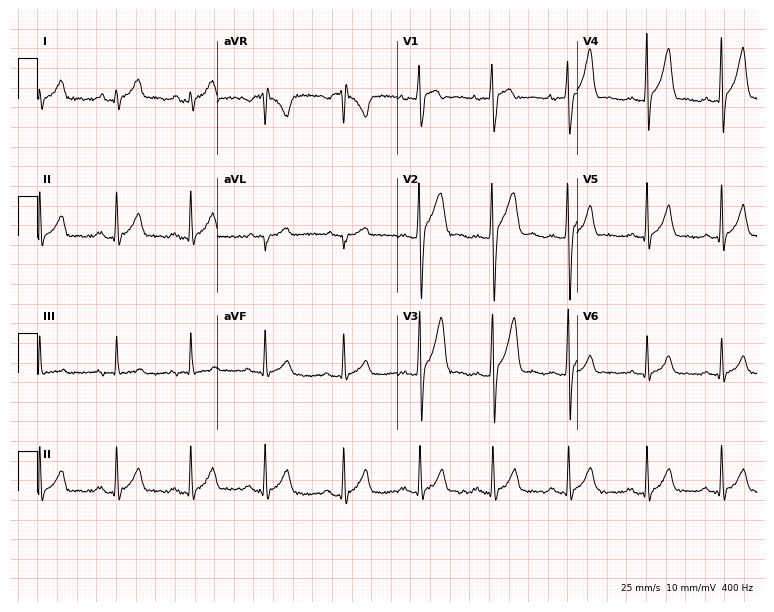
12-lead ECG from a 17-year-old man. Labelled as a normal ECG.